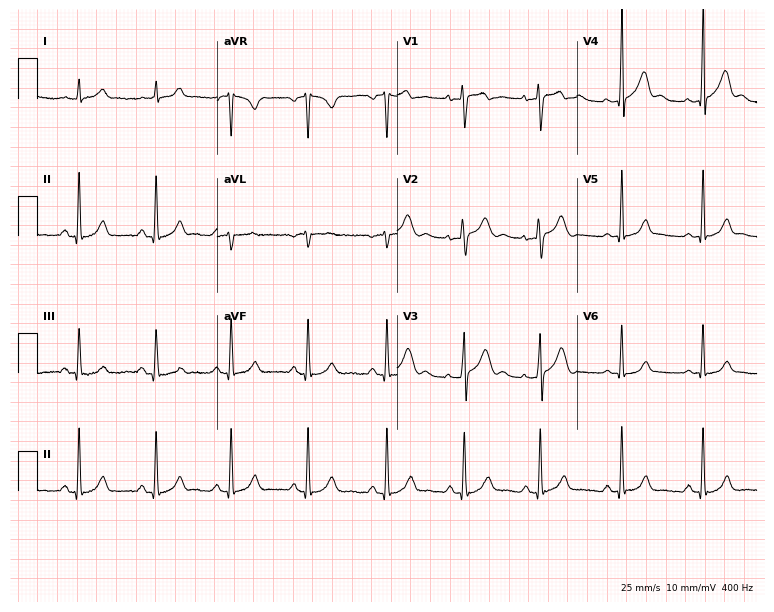
Standard 12-lead ECG recorded from a 32-year-old male (7.3-second recording at 400 Hz). None of these six findings is recorded: first-degree AV block, right bundle branch block (RBBB), left bundle branch block (LBBB), sinus bradycardia, atrial fibrillation (AF), sinus tachycardia.